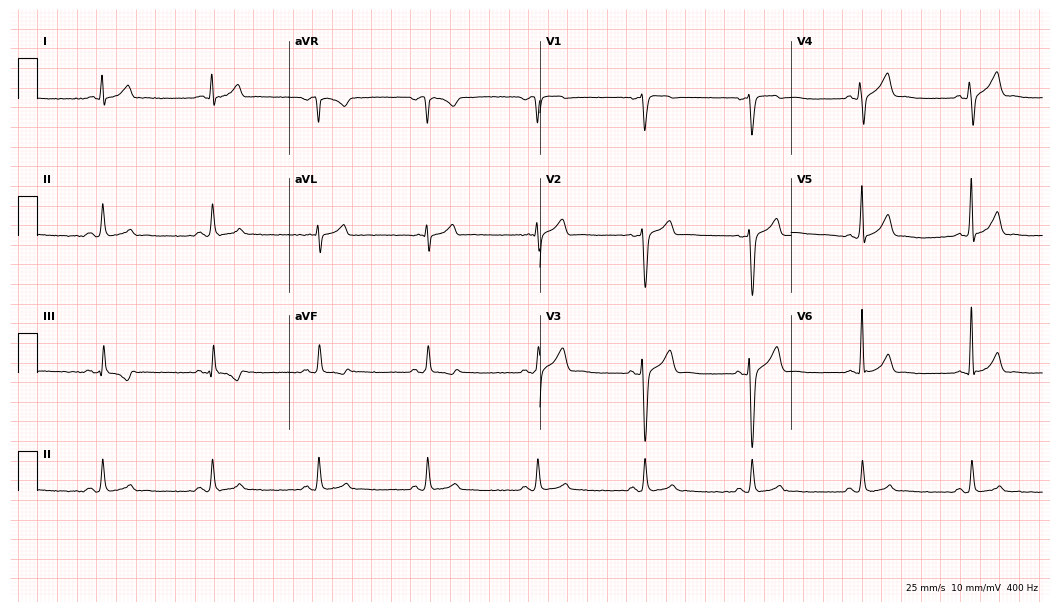
12-lead ECG from a 44-year-old male. Screened for six findings — first-degree AV block, right bundle branch block, left bundle branch block, sinus bradycardia, atrial fibrillation, sinus tachycardia — none is recorded. Only these six findings were labelled.